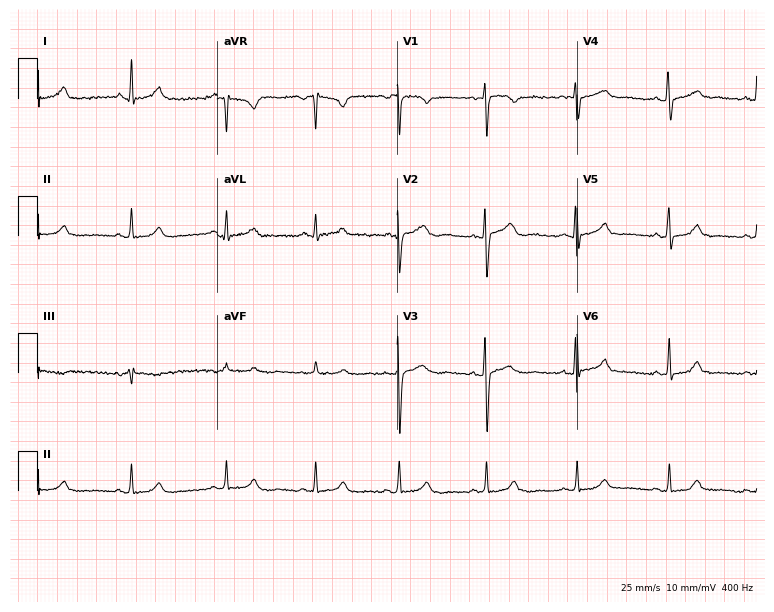
Standard 12-lead ECG recorded from a female patient, 34 years old (7.3-second recording at 400 Hz). Read as a normal ECG.